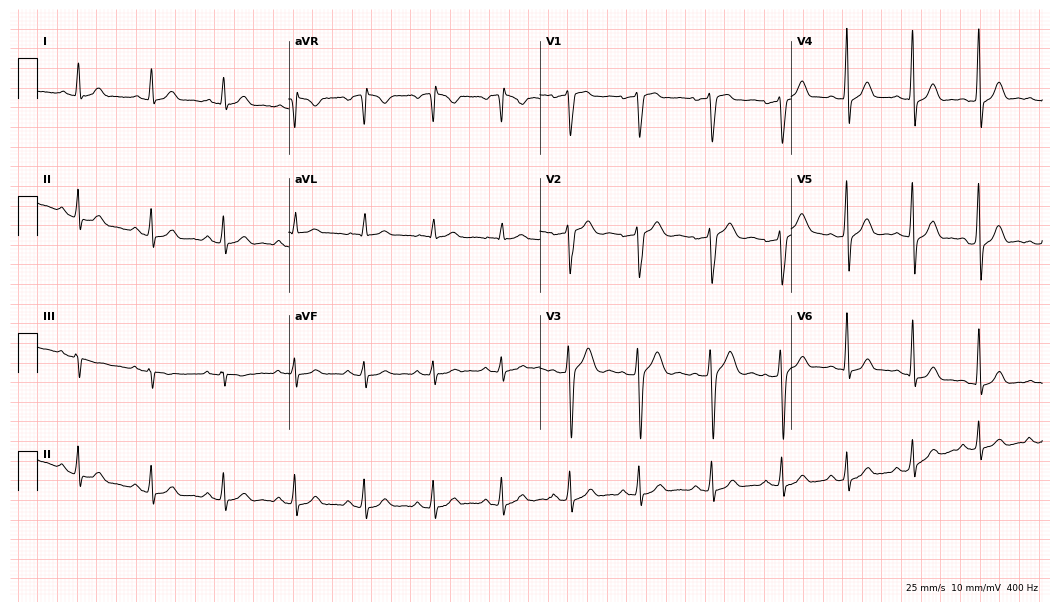
ECG — a man, 32 years old. Screened for six findings — first-degree AV block, right bundle branch block (RBBB), left bundle branch block (LBBB), sinus bradycardia, atrial fibrillation (AF), sinus tachycardia — none is recorded.